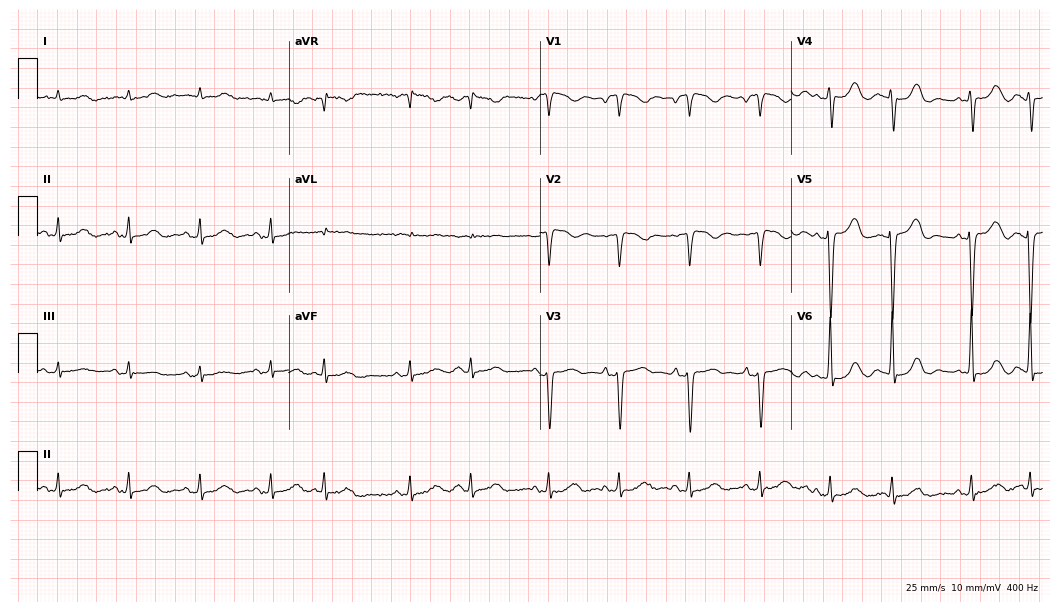
Electrocardiogram, an 84-year-old female patient. Of the six screened findings (first-degree AV block, right bundle branch block, left bundle branch block, sinus bradycardia, atrial fibrillation, sinus tachycardia), none is recorded.